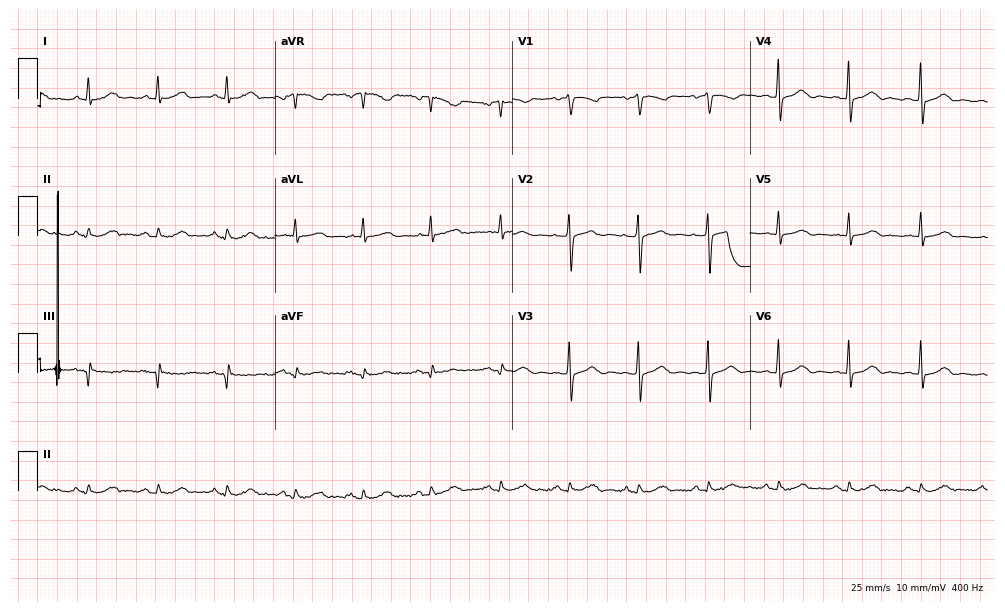
Resting 12-lead electrocardiogram. Patient: a 65-year-old female. Read as a normal ECG.